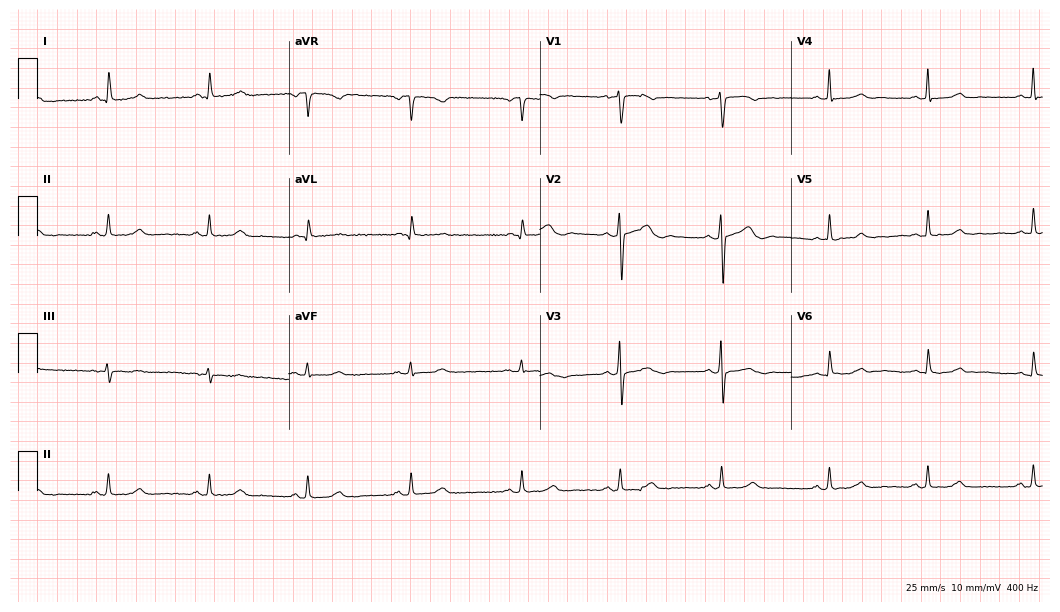
12-lead ECG from a female, 41 years old (10.2-second recording at 400 Hz). Recorded interpretation: within normal limits.